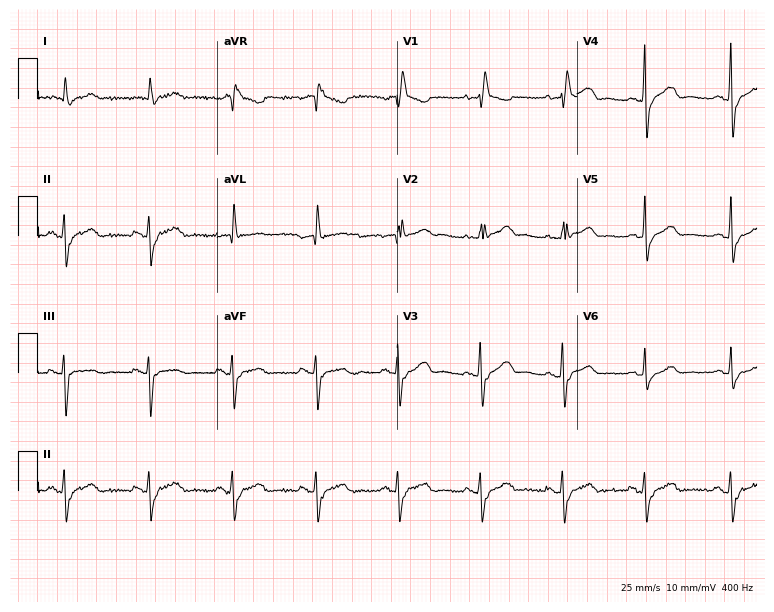
Standard 12-lead ECG recorded from a 71-year-old woman (7.3-second recording at 400 Hz). None of these six findings is recorded: first-degree AV block, right bundle branch block (RBBB), left bundle branch block (LBBB), sinus bradycardia, atrial fibrillation (AF), sinus tachycardia. Other findings, if any, are not listed.